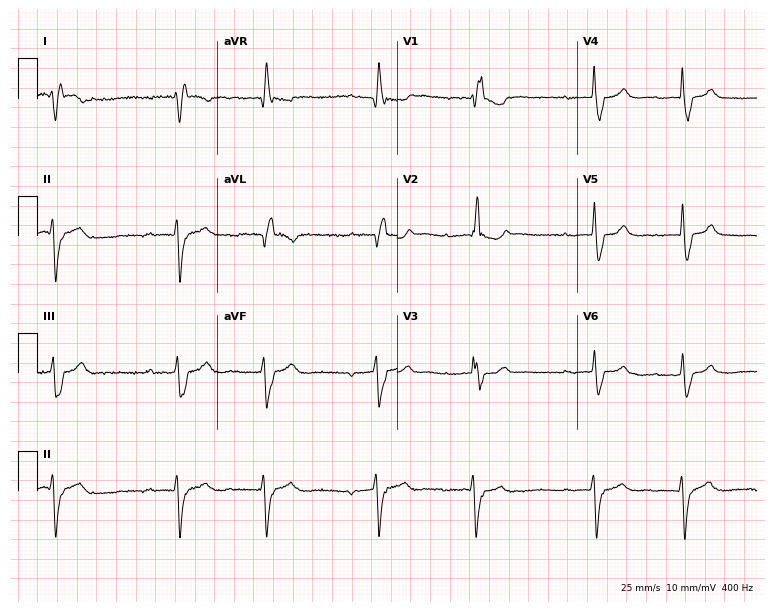
Electrocardiogram (7.3-second recording at 400 Hz), a woman, 66 years old. Of the six screened findings (first-degree AV block, right bundle branch block (RBBB), left bundle branch block (LBBB), sinus bradycardia, atrial fibrillation (AF), sinus tachycardia), none is recorded. Other findings, if any, are not listed.